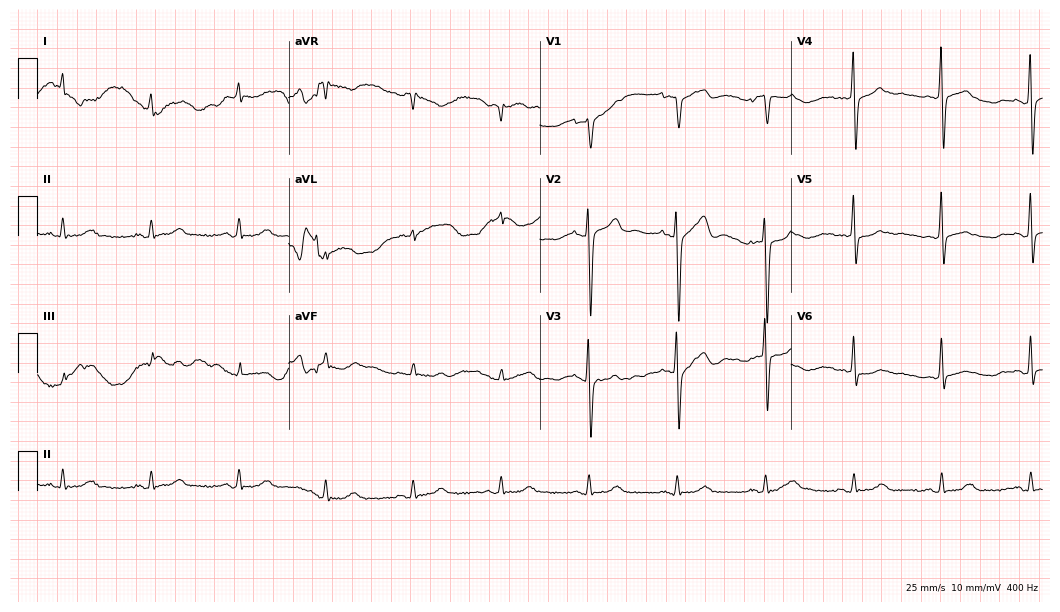
Electrocardiogram, an 83-year-old female patient. Of the six screened findings (first-degree AV block, right bundle branch block, left bundle branch block, sinus bradycardia, atrial fibrillation, sinus tachycardia), none is recorded.